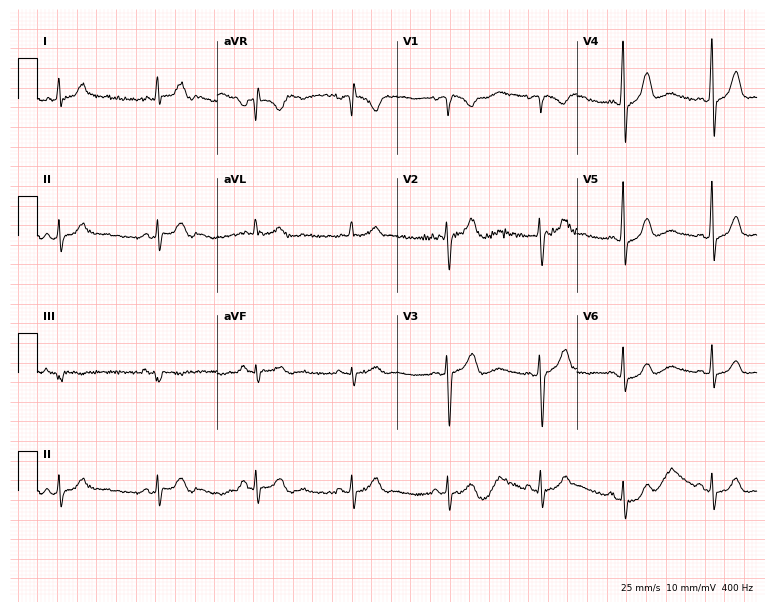
Resting 12-lead electrocardiogram (7.3-second recording at 400 Hz). Patient: a male, 41 years old. Read as a normal ECG.